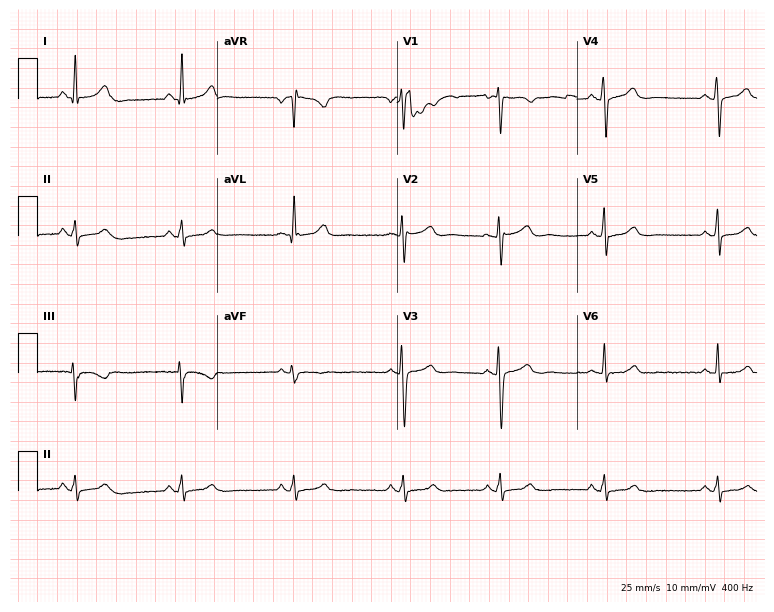
Electrocardiogram (7.3-second recording at 400 Hz), a 36-year-old female patient. Overall reading on record: normal ECG.